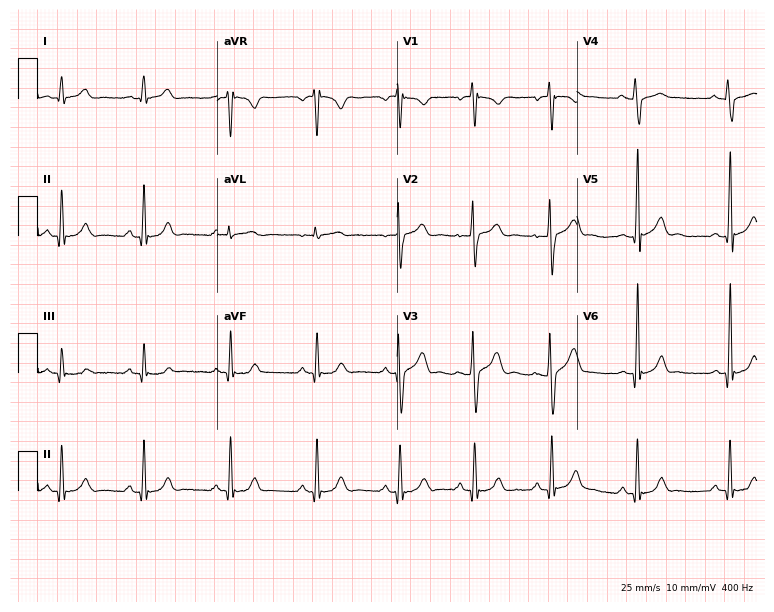
Standard 12-lead ECG recorded from a male, 21 years old. Read as a normal ECG.